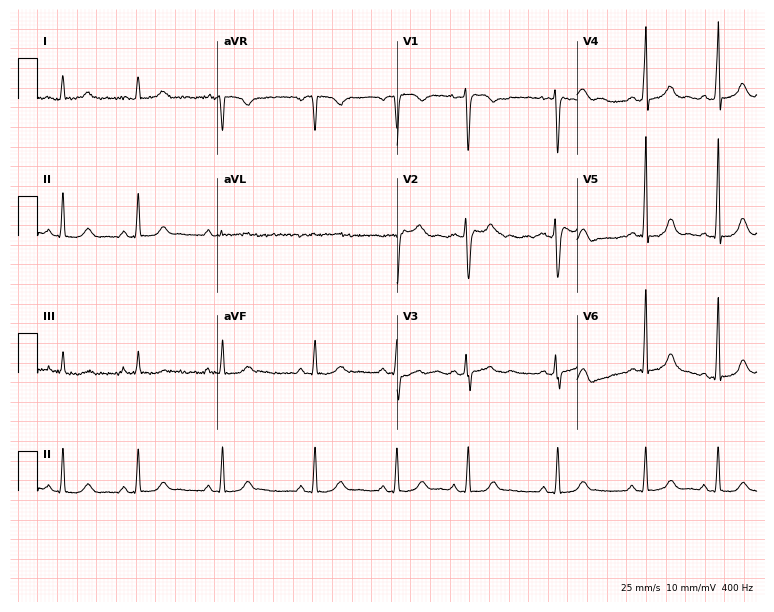
Resting 12-lead electrocardiogram (7.3-second recording at 400 Hz). Patient: a female, 17 years old. None of these six findings is recorded: first-degree AV block, right bundle branch block, left bundle branch block, sinus bradycardia, atrial fibrillation, sinus tachycardia. Findings outside these six are not listed.